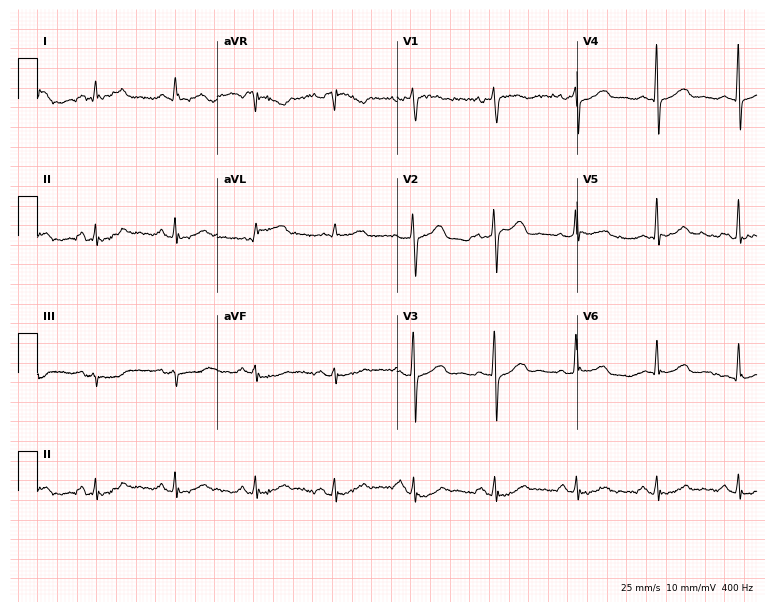
Resting 12-lead electrocardiogram (7.3-second recording at 400 Hz). Patient: a 44-year-old female. Read as a normal ECG.